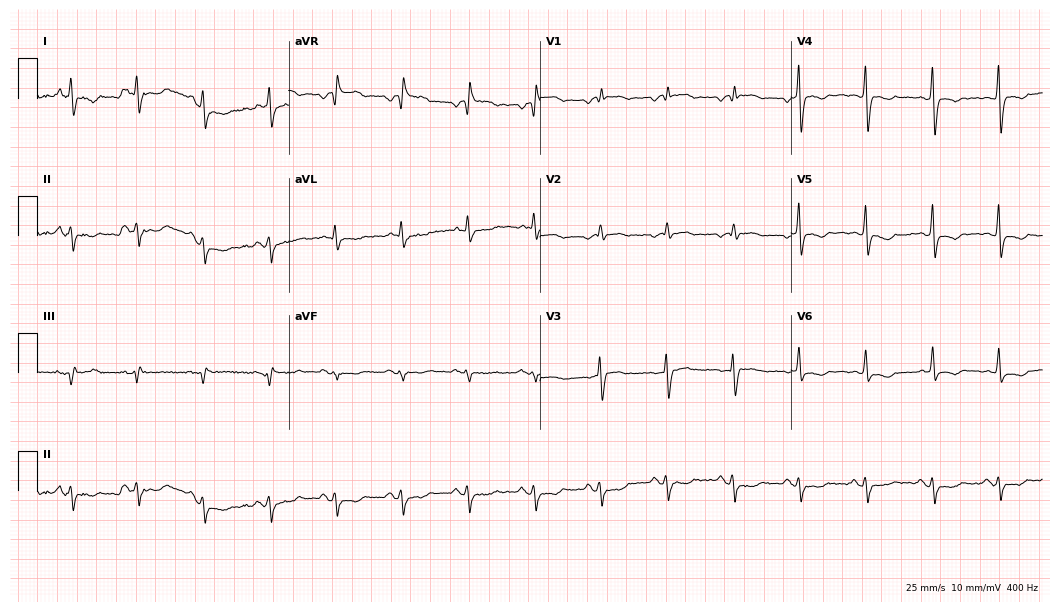
12-lead ECG from a 78-year-old woman. No first-degree AV block, right bundle branch block (RBBB), left bundle branch block (LBBB), sinus bradycardia, atrial fibrillation (AF) or sinus tachycardia recorded for this tracing. Findings outside these six are not listed.